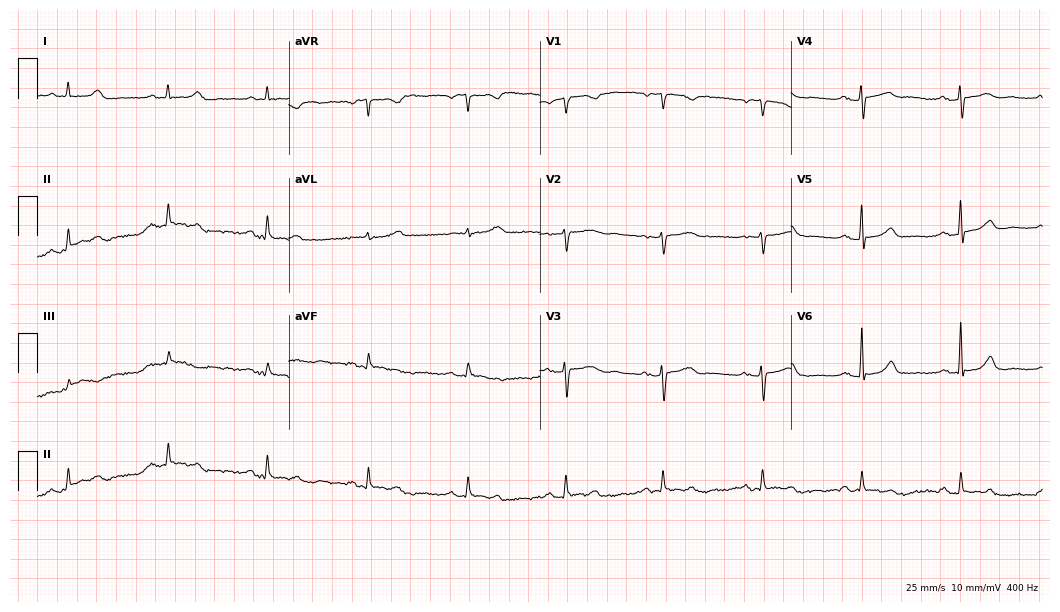
Electrocardiogram (10.2-second recording at 400 Hz), an 80-year-old female patient. Overall reading on record: normal ECG.